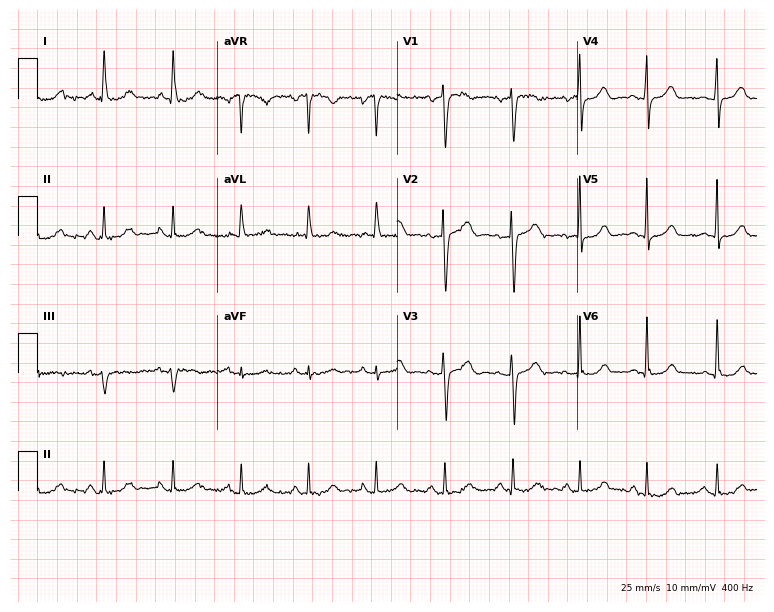
Standard 12-lead ECG recorded from a 69-year-old female patient (7.3-second recording at 400 Hz). Read as a normal ECG.